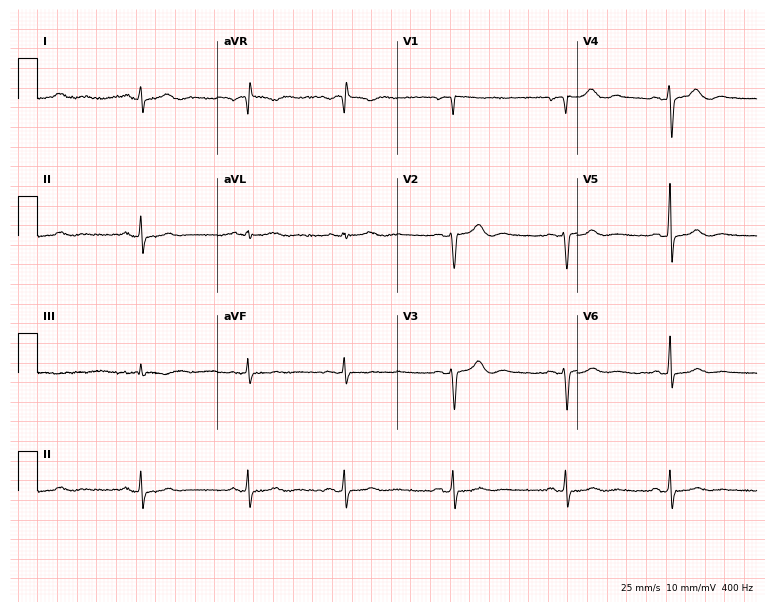
Electrocardiogram, a 47-year-old female patient. Of the six screened findings (first-degree AV block, right bundle branch block (RBBB), left bundle branch block (LBBB), sinus bradycardia, atrial fibrillation (AF), sinus tachycardia), none is recorded.